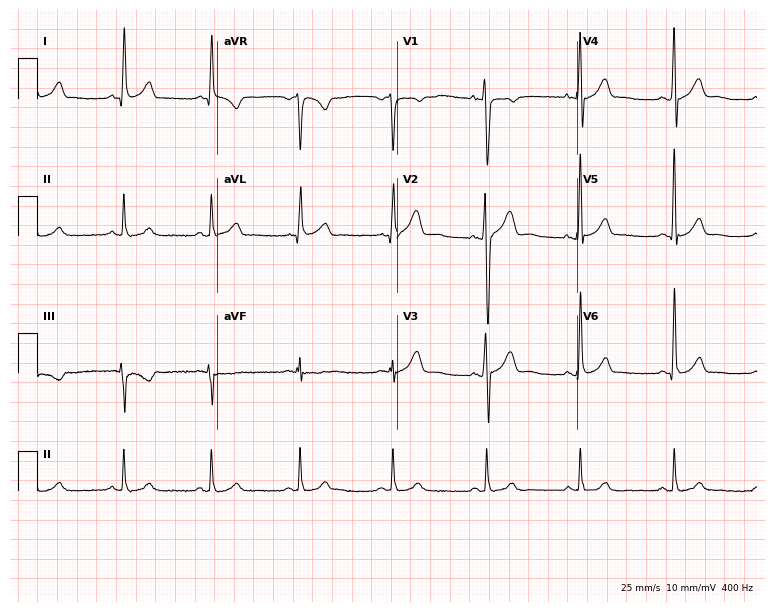
12-lead ECG from a man, 37 years old (7.3-second recording at 400 Hz). Recorded interpretation: within normal limits.